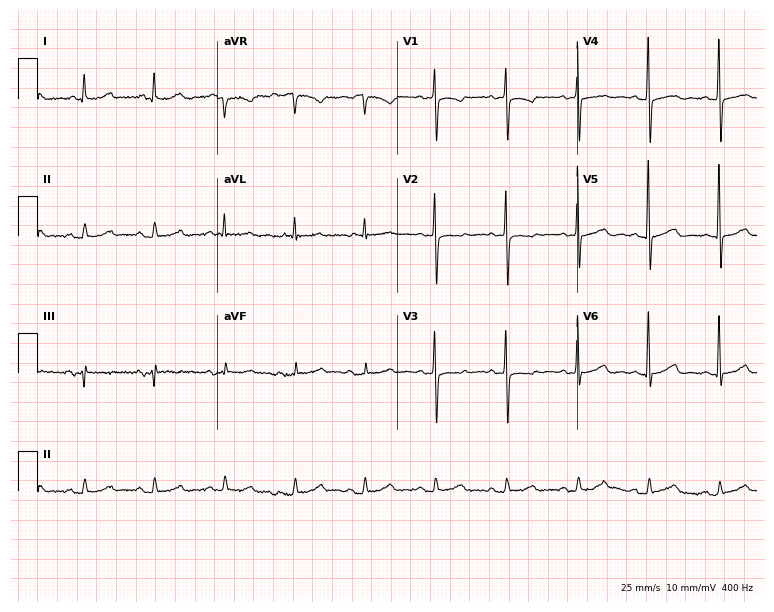
12-lead ECG from a 79-year-old female patient (7.3-second recording at 400 Hz). No first-degree AV block, right bundle branch block (RBBB), left bundle branch block (LBBB), sinus bradycardia, atrial fibrillation (AF) or sinus tachycardia recorded for this tracing. Other findings, if any, are not listed.